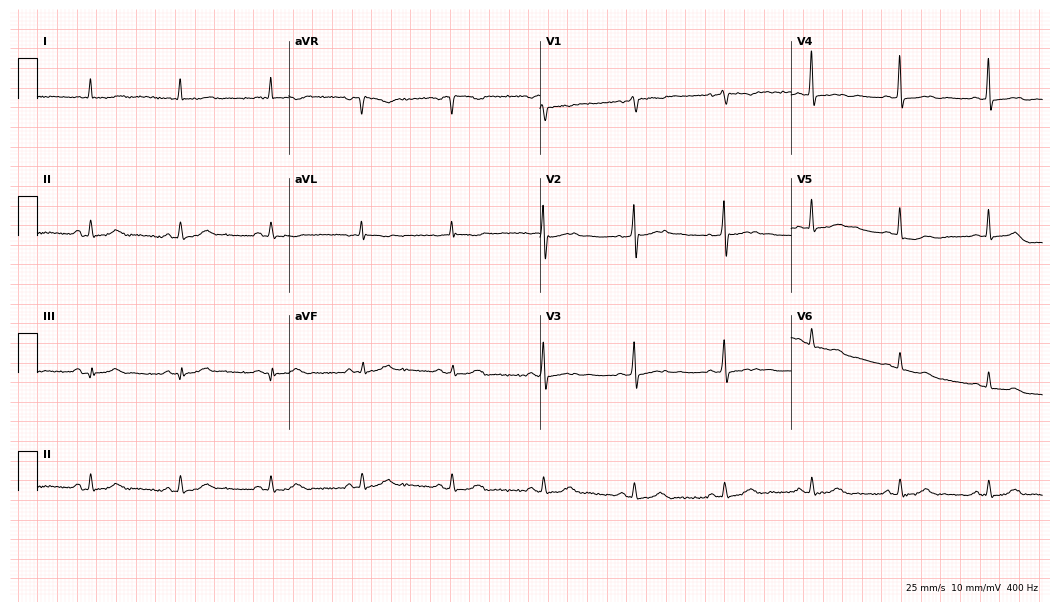
ECG — a 60-year-old man. Screened for six findings — first-degree AV block, right bundle branch block (RBBB), left bundle branch block (LBBB), sinus bradycardia, atrial fibrillation (AF), sinus tachycardia — none is recorded.